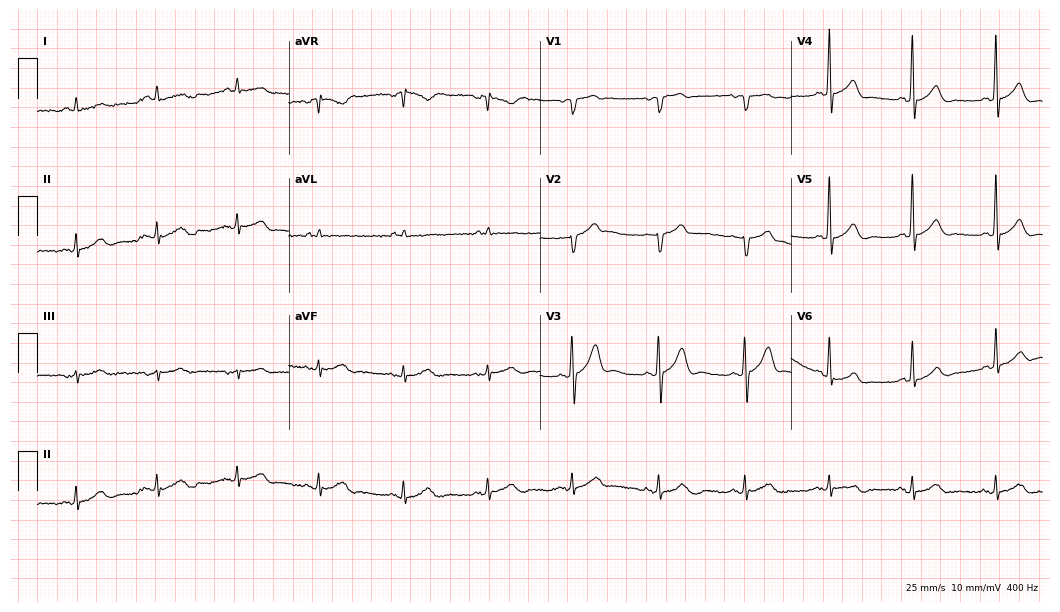
12-lead ECG from a man, 74 years old. Recorded interpretation: within normal limits.